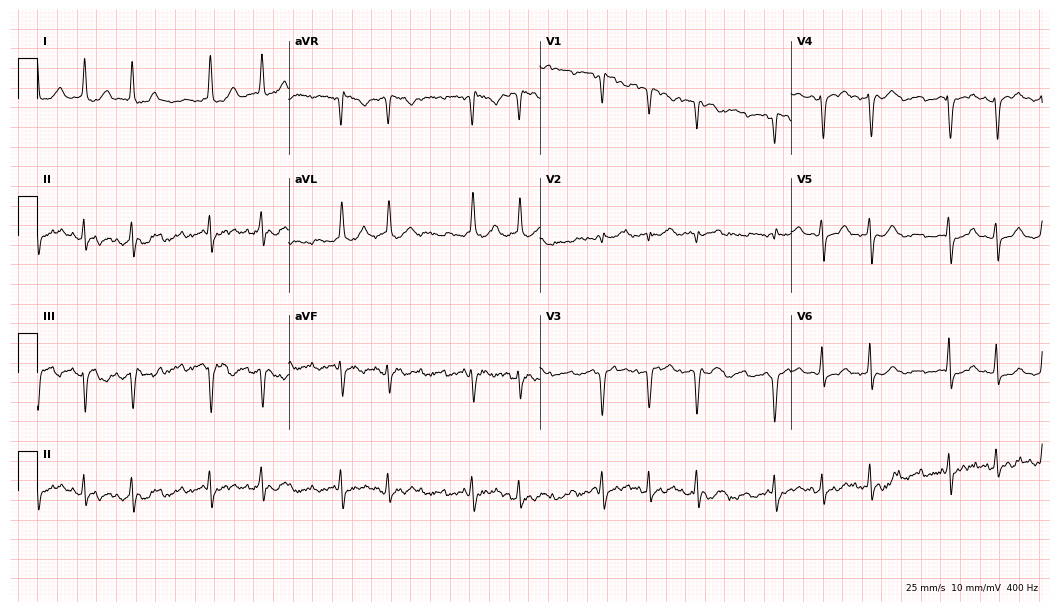
12-lead ECG from an 83-year-old female (10.2-second recording at 400 Hz). Shows atrial fibrillation (AF).